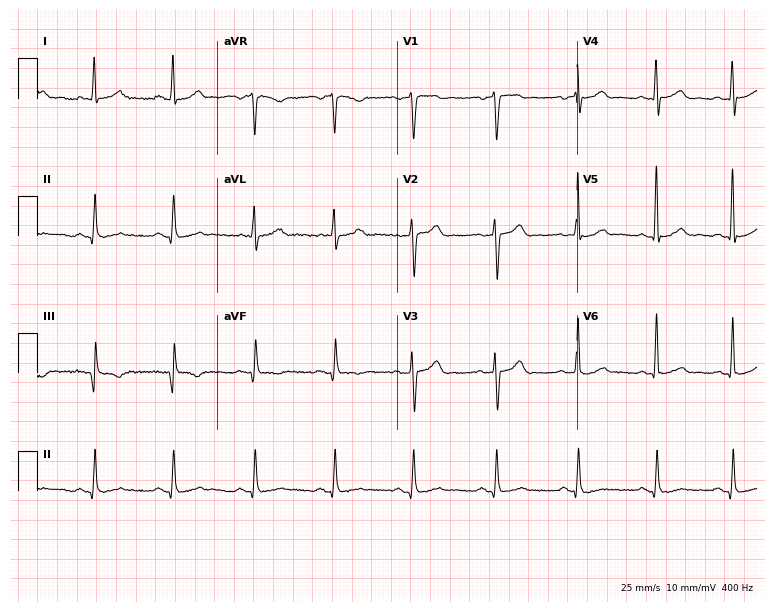
12-lead ECG from a 51-year-old male patient. Labelled as a normal ECG.